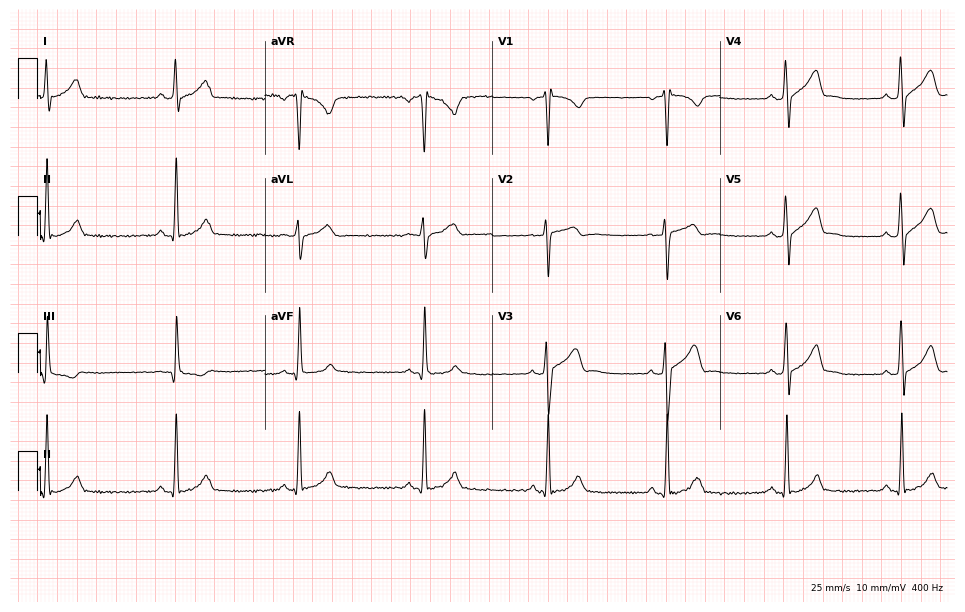
ECG — a 22-year-old male patient. Findings include sinus bradycardia (a sinus rate of 50 beats per minute or less).